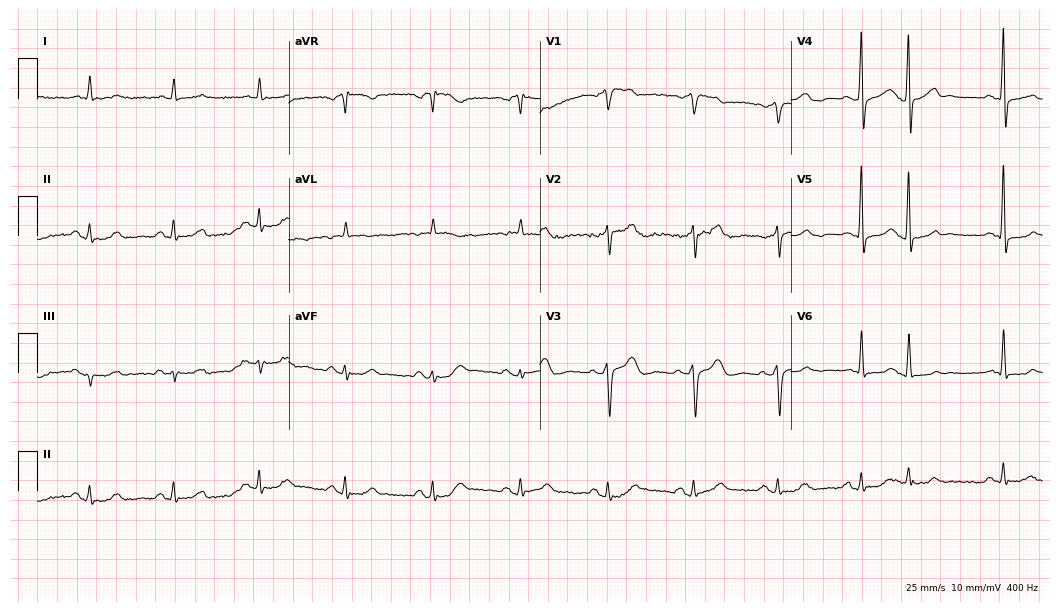
Standard 12-lead ECG recorded from a 64-year-old male patient (10.2-second recording at 400 Hz). None of these six findings is recorded: first-degree AV block, right bundle branch block (RBBB), left bundle branch block (LBBB), sinus bradycardia, atrial fibrillation (AF), sinus tachycardia. Other findings, if any, are not listed.